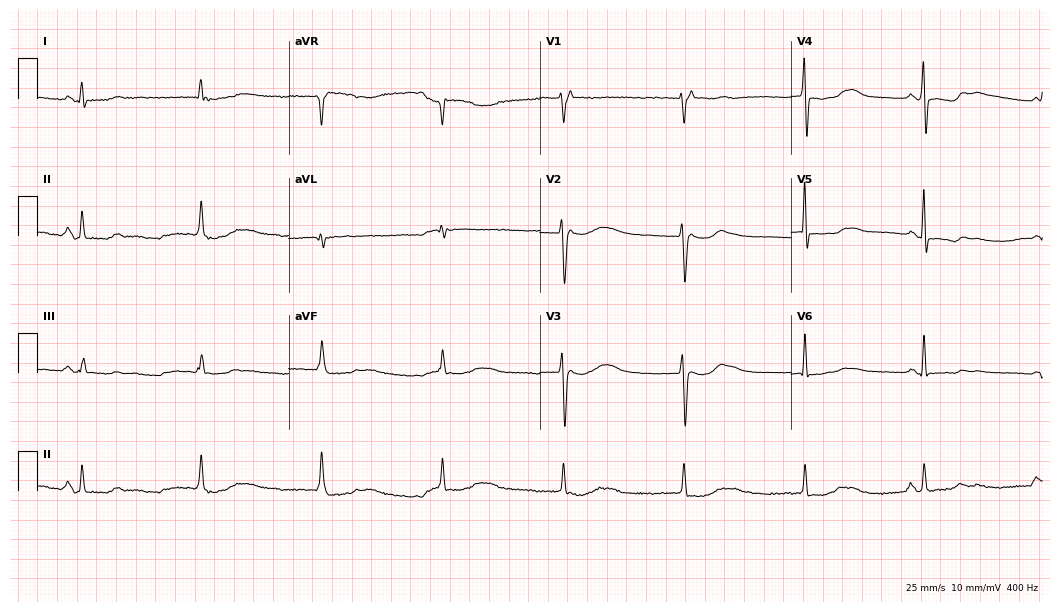
12-lead ECG (10.2-second recording at 400 Hz) from a 59-year-old woman. Screened for six findings — first-degree AV block, right bundle branch block, left bundle branch block, sinus bradycardia, atrial fibrillation, sinus tachycardia — none is recorded.